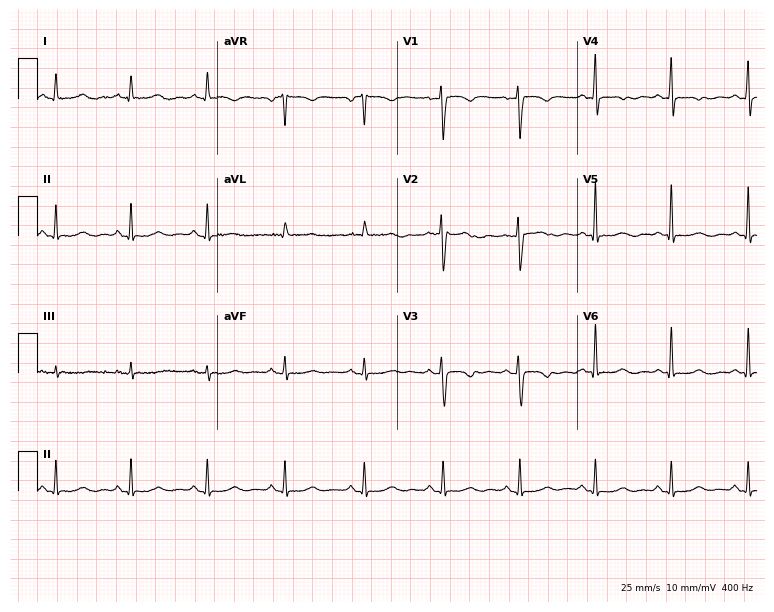
Resting 12-lead electrocardiogram (7.3-second recording at 400 Hz). Patient: a 48-year-old female. None of these six findings is recorded: first-degree AV block, right bundle branch block, left bundle branch block, sinus bradycardia, atrial fibrillation, sinus tachycardia.